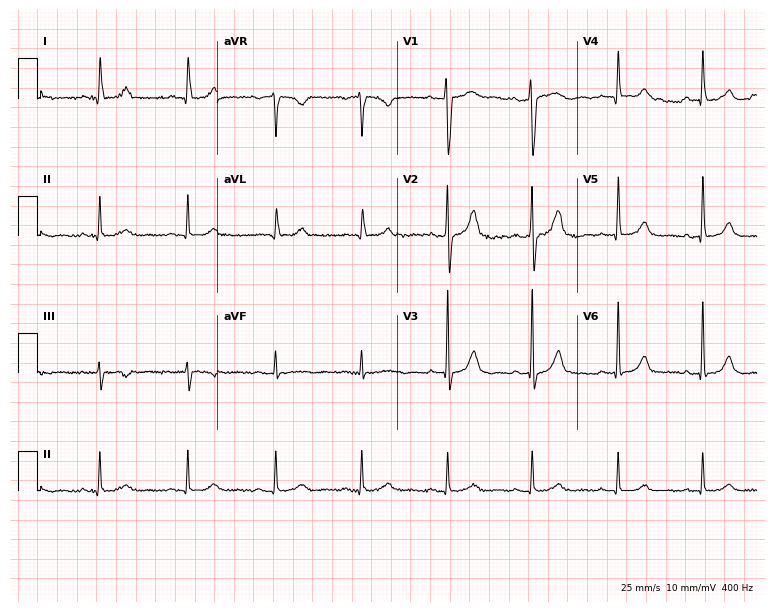
12-lead ECG (7.3-second recording at 400 Hz) from a 51-year-old male. Labelled as a normal ECG.